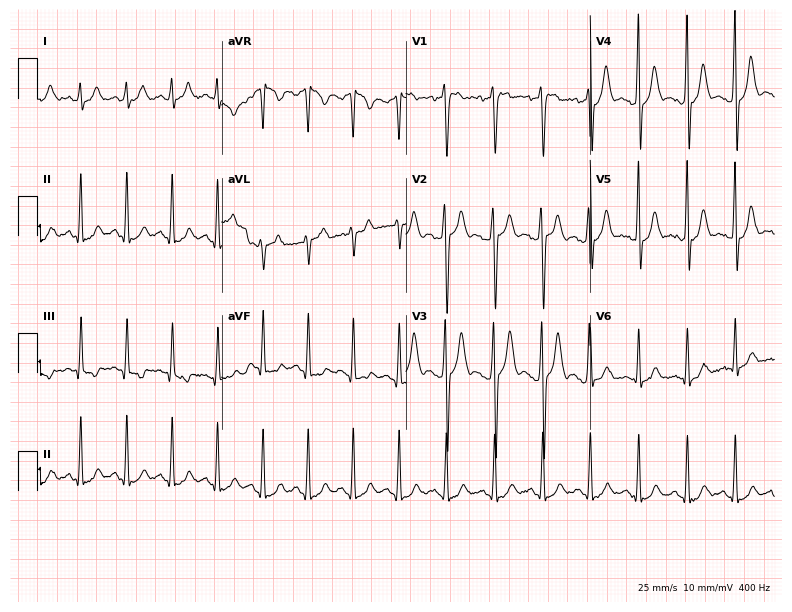
Electrocardiogram, a 25-year-old man. Interpretation includes sinus tachycardia (a sinus rate of 100 beats per minute or more).